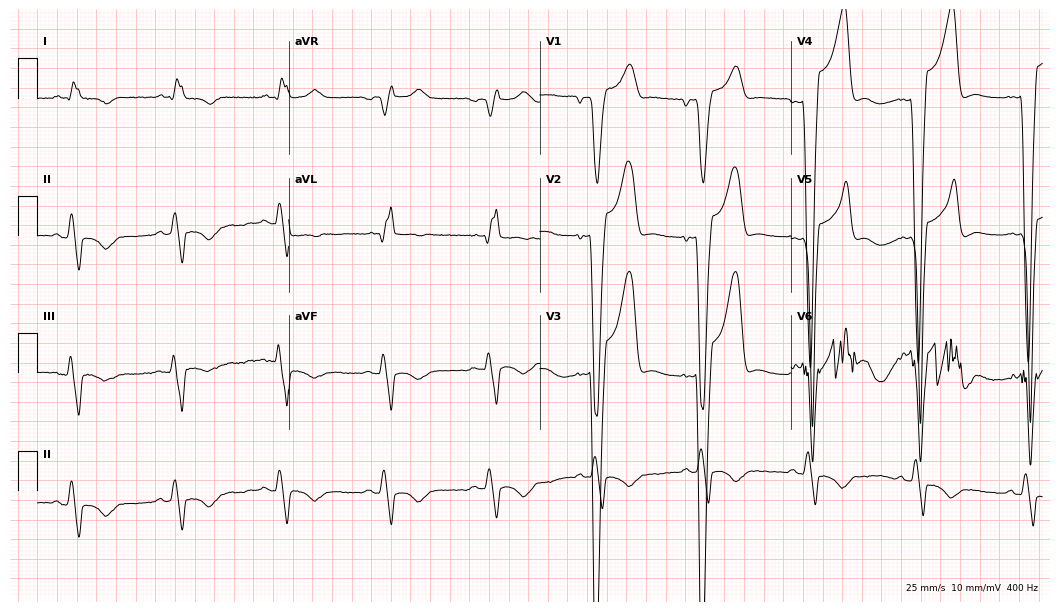
Resting 12-lead electrocardiogram (10.2-second recording at 400 Hz). Patient: a 77-year-old man. The tracing shows left bundle branch block.